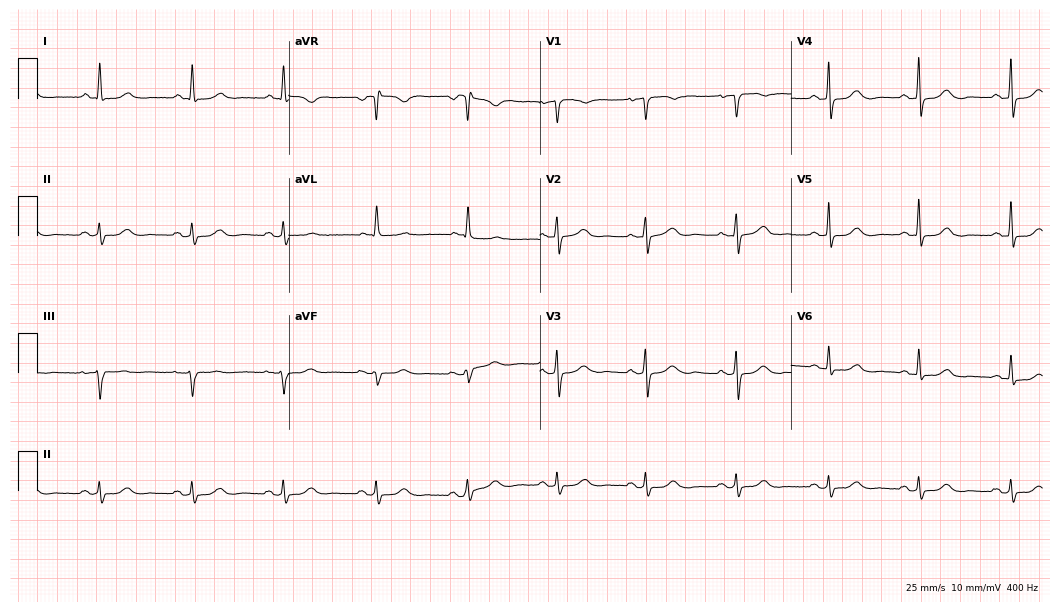
Resting 12-lead electrocardiogram (10.2-second recording at 400 Hz). Patient: a female, 76 years old. None of these six findings is recorded: first-degree AV block, right bundle branch block (RBBB), left bundle branch block (LBBB), sinus bradycardia, atrial fibrillation (AF), sinus tachycardia.